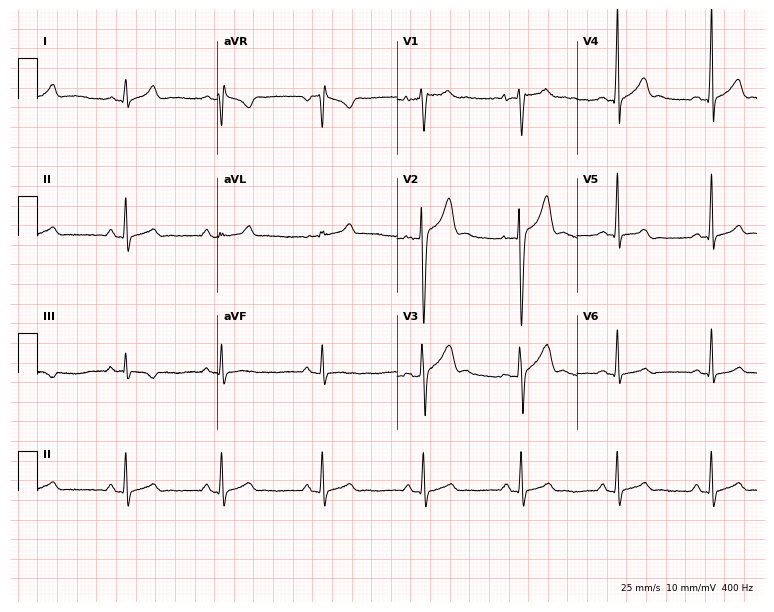
Electrocardiogram, an 18-year-old male. Overall reading on record: normal ECG.